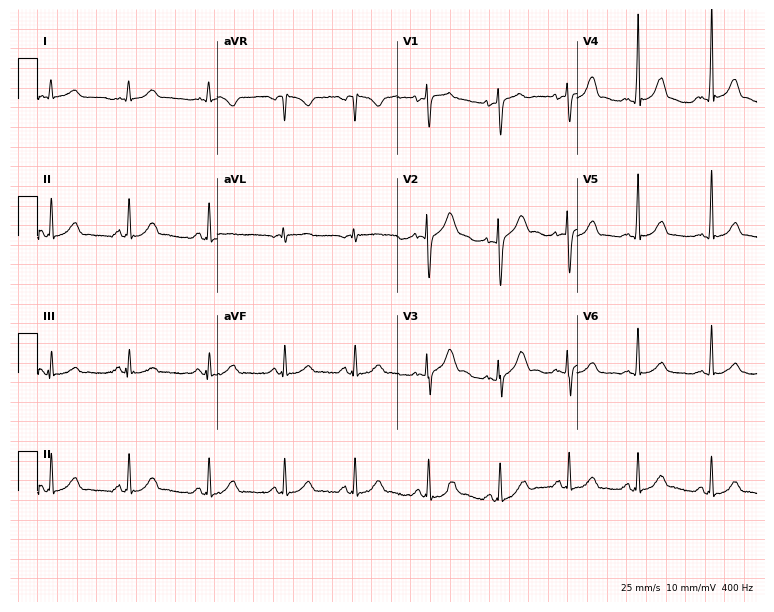
12-lead ECG (7.3-second recording at 400 Hz) from a 33-year-old male. Screened for six findings — first-degree AV block, right bundle branch block, left bundle branch block, sinus bradycardia, atrial fibrillation, sinus tachycardia — none is recorded.